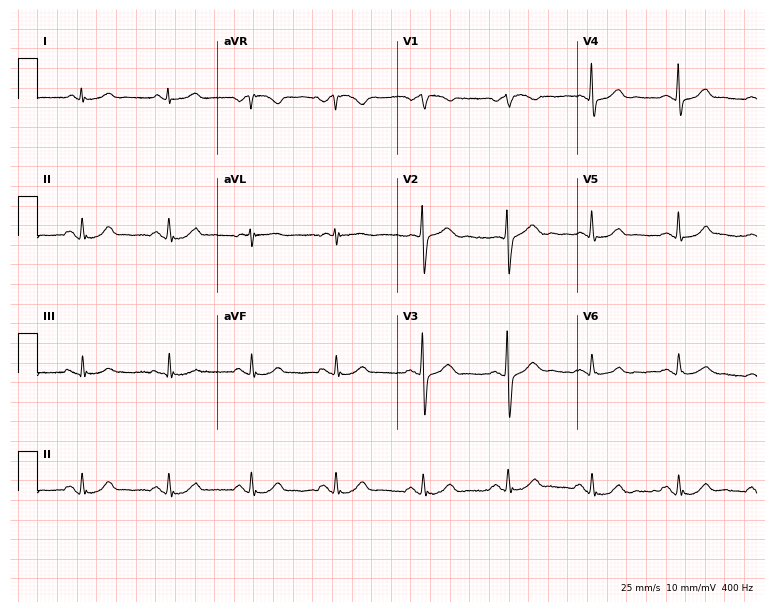
12-lead ECG from a female patient, 58 years old. Labelled as a normal ECG.